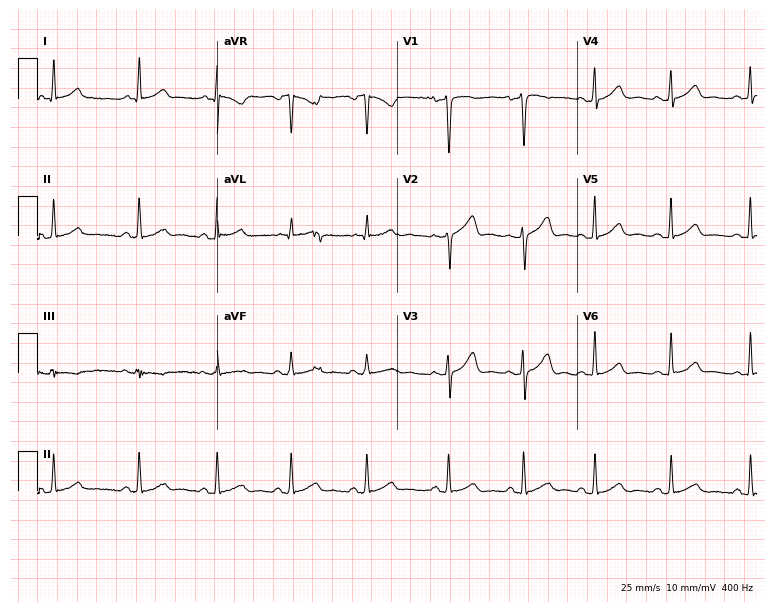
12-lead ECG (7.3-second recording at 400 Hz) from a female patient, 37 years old. Labelled as a normal ECG.